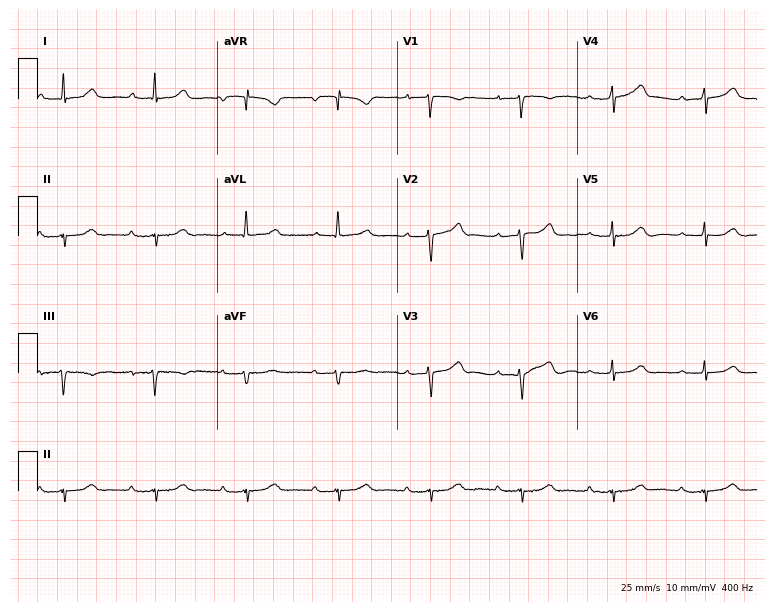
12-lead ECG (7.3-second recording at 400 Hz) from an 85-year-old woman. Findings include first-degree AV block.